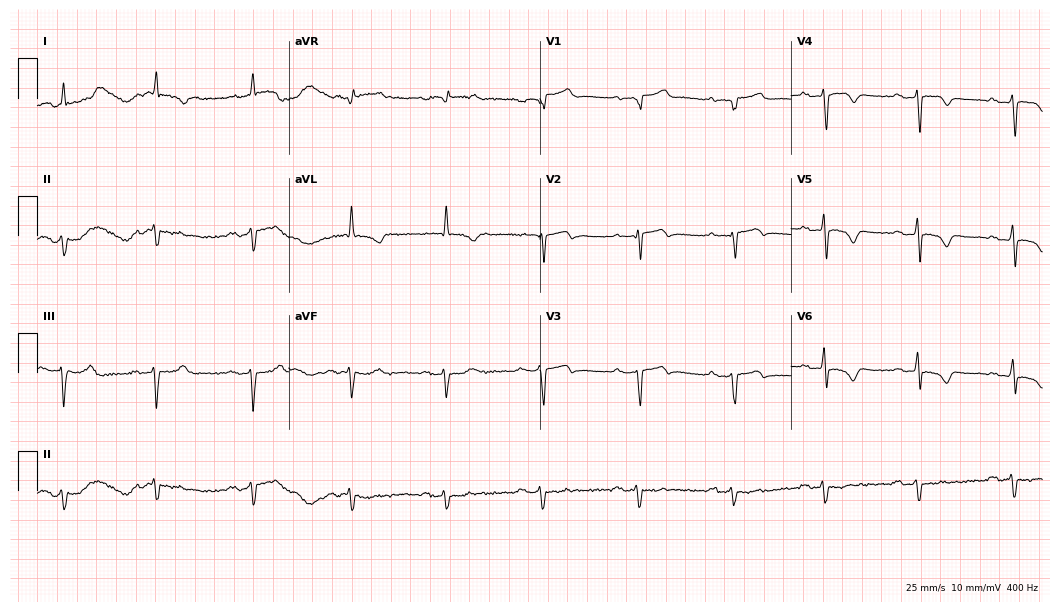
Standard 12-lead ECG recorded from a 68-year-old male patient (10.2-second recording at 400 Hz). None of these six findings is recorded: first-degree AV block, right bundle branch block (RBBB), left bundle branch block (LBBB), sinus bradycardia, atrial fibrillation (AF), sinus tachycardia. Other findings, if any, are not listed.